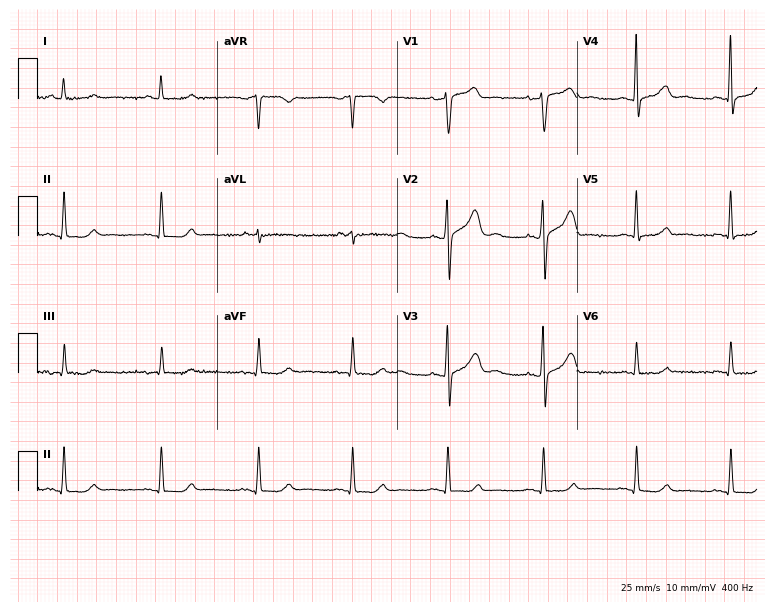
12-lead ECG from a female patient, 54 years old. Labelled as a normal ECG.